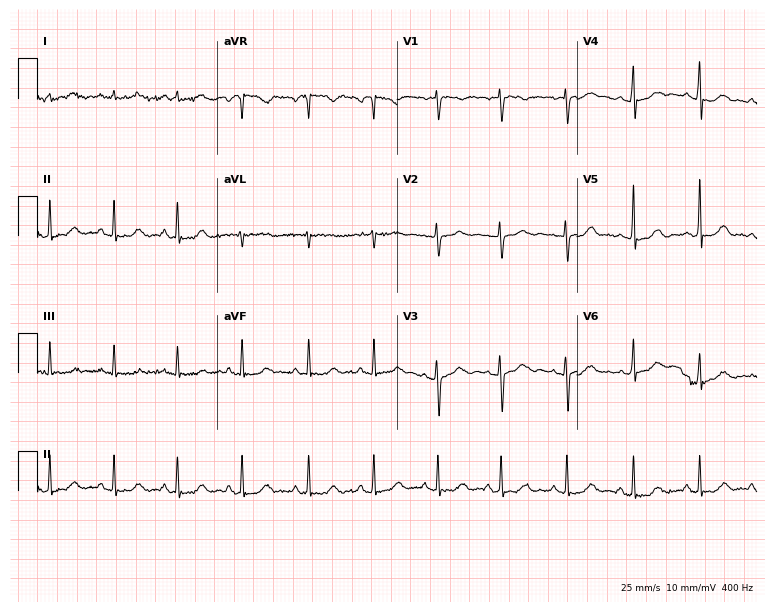
Resting 12-lead electrocardiogram. Patient: an 18-year-old woman. Read as a normal ECG.